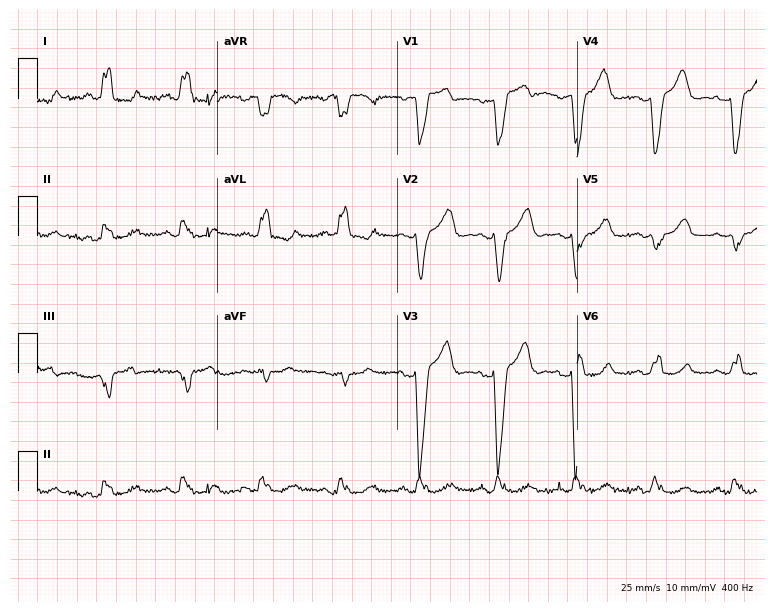
ECG — a female, 46 years old. Screened for six findings — first-degree AV block, right bundle branch block (RBBB), left bundle branch block (LBBB), sinus bradycardia, atrial fibrillation (AF), sinus tachycardia — none is recorded.